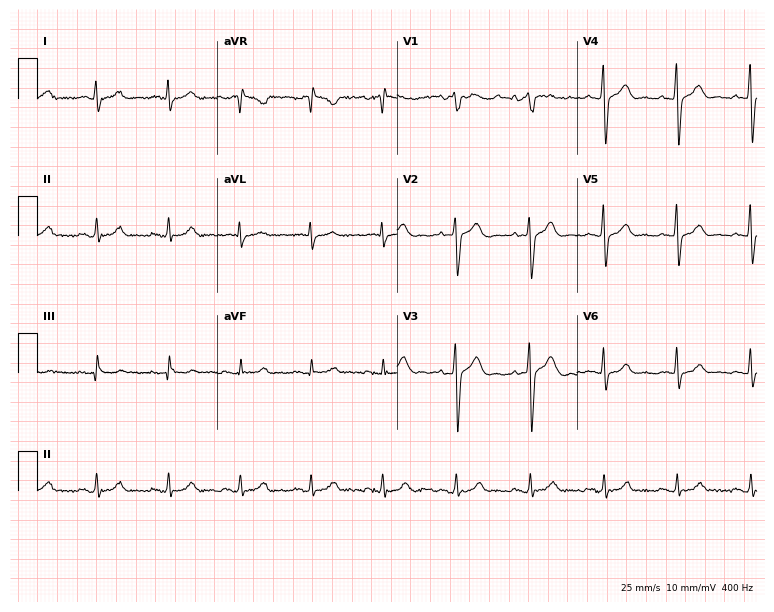
Resting 12-lead electrocardiogram. Patient: a male, 40 years old. Read as a normal ECG.